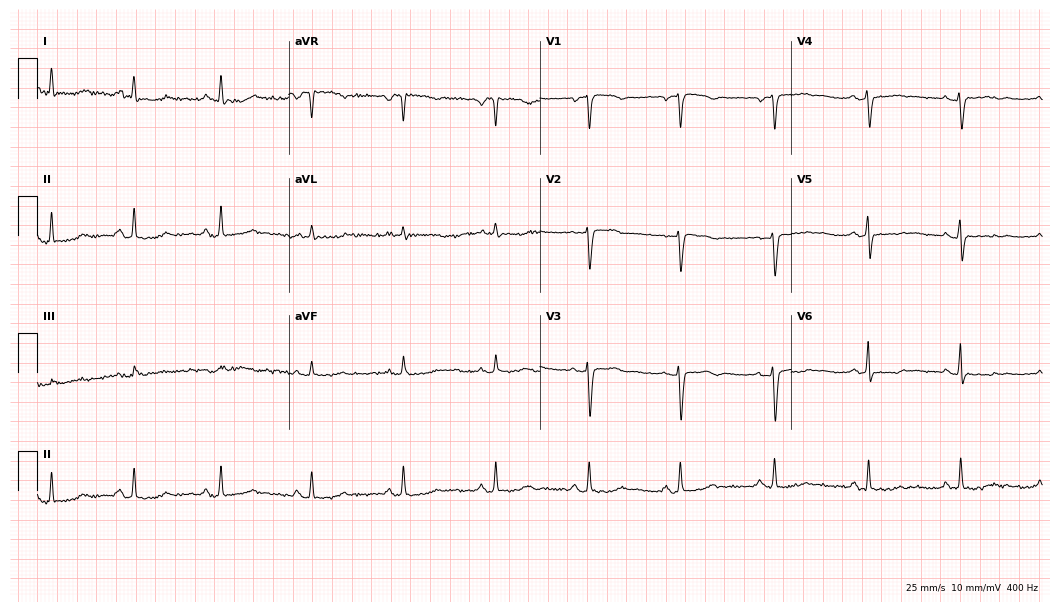
Resting 12-lead electrocardiogram (10.2-second recording at 400 Hz). Patient: a 52-year-old female. None of these six findings is recorded: first-degree AV block, right bundle branch block, left bundle branch block, sinus bradycardia, atrial fibrillation, sinus tachycardia.